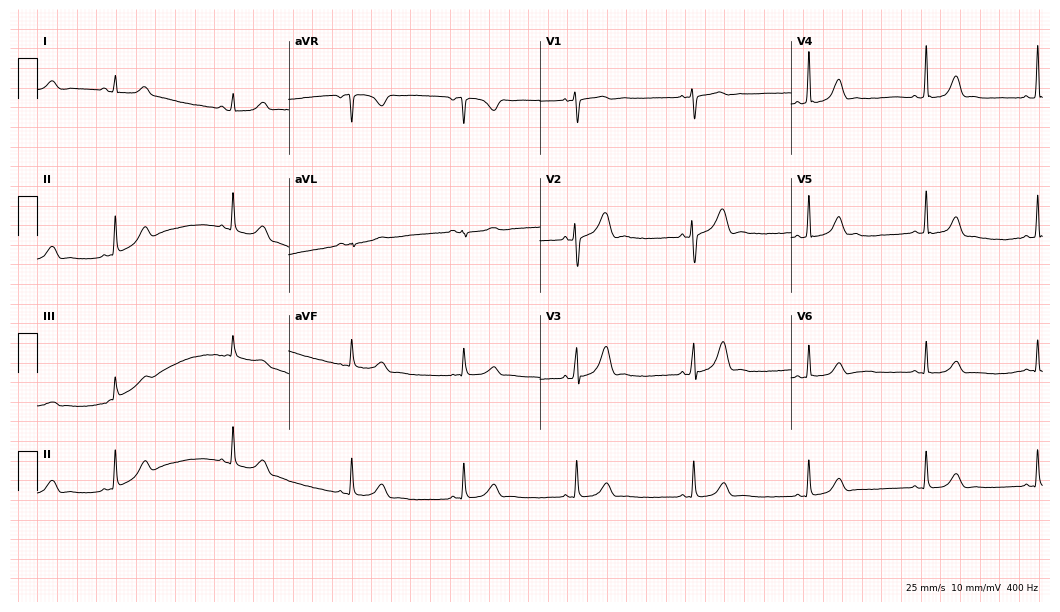
ECG — a female patient, 18 years old. Screened for six findings — first-degree AV block, right bundle branch block, left bundle branch block, sinus bradycardia, atrial fibrillation, sinus tachycardia — none is recorded.